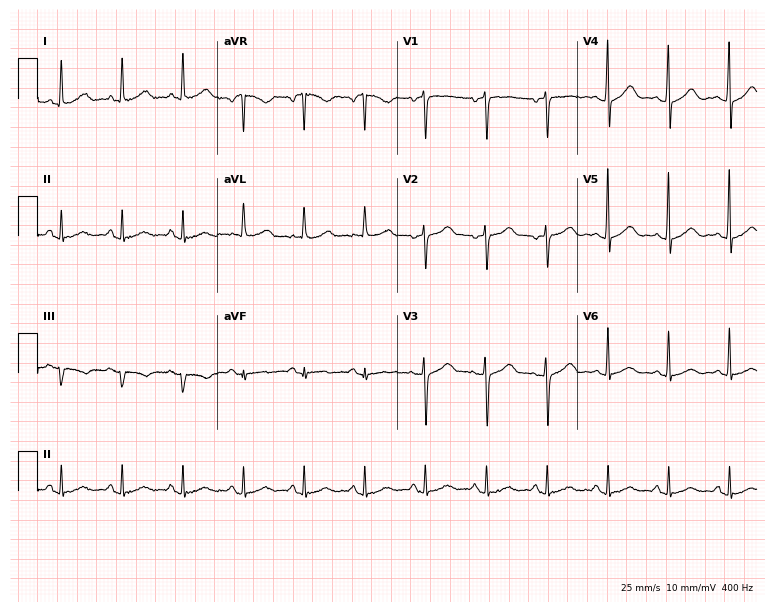
Resting 12-lead electrocardiogram. Patient: a 55-year-old woman. None of these six findings is recorded: first-degree AV block, right bundle branch block, left bundle branch block, sinus bradycardia, atrial fibrillation, sinus tachycardia.